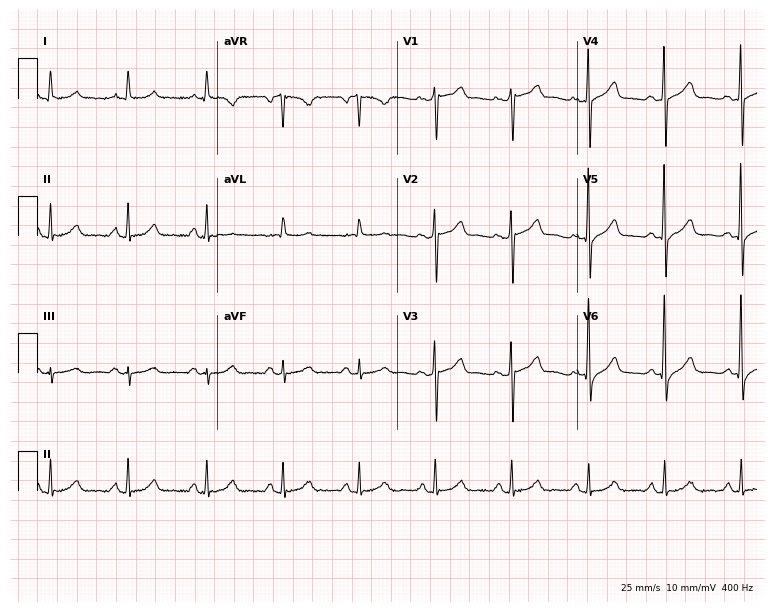
ECG (7.3-second recording at 400 Hz) — a 60-year-old male patient. Screened for six findings — first-degree AV block, right bundle branch block (RBBB), left bundle branch block (LBBB), sinus bradycardia, atrial fibrillation (AF), sinus tachycardia — none is recorded.